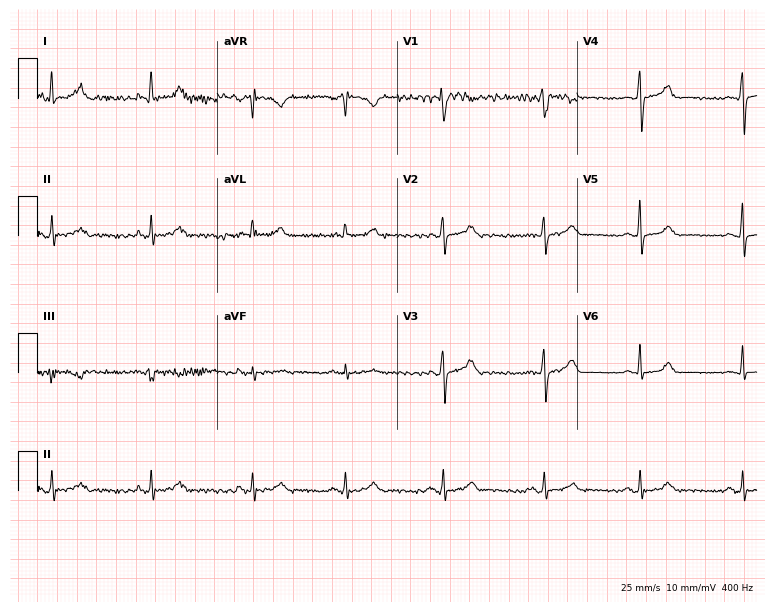
Standard 12-lead ECG recorded from a female patient, 49 years old (7.3-second recording at 400 Hz). None of these six findings is recorded: first-degree AV block, right bundle branch block (RBBB), left bundle branch block (LBBB), sinus bradycardia, atrial fibrillation (AF), sinus tachycardia.